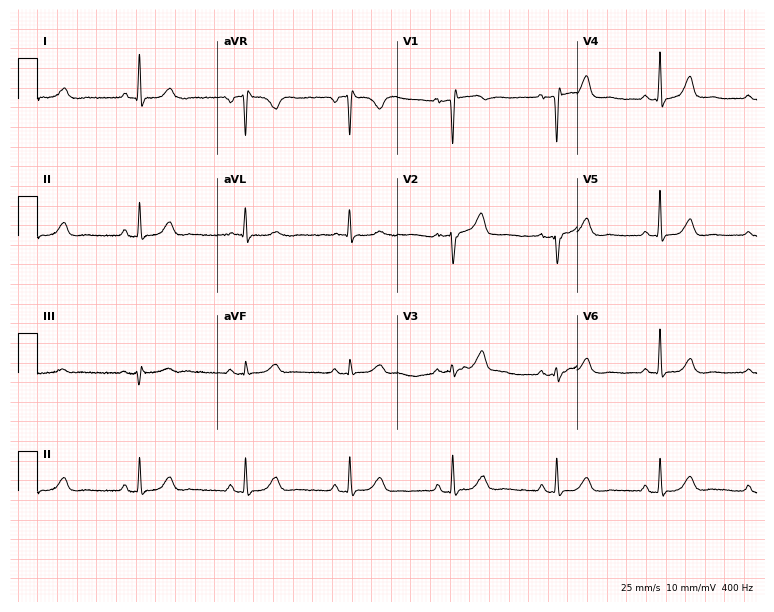
Standard 12-lead ECG recorded from a 66-year-old female (7.3-second recording at 400 Hz). Read as a normal ECG.